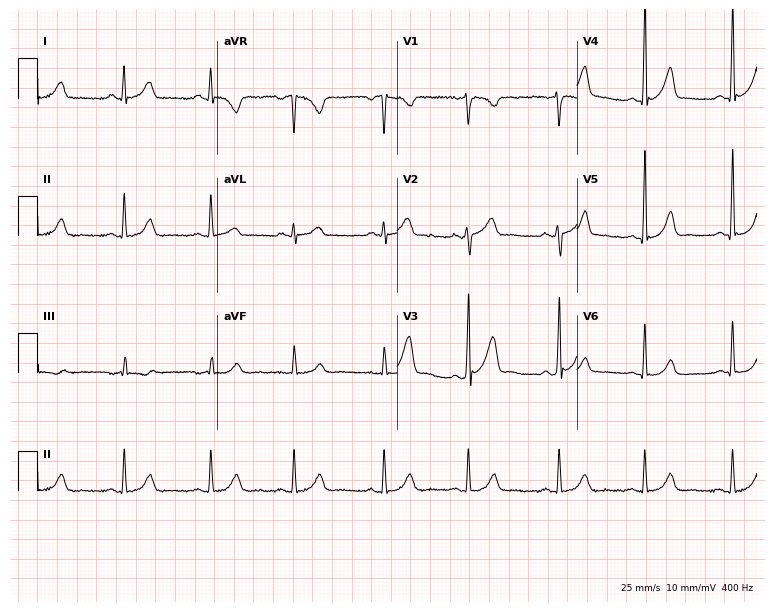
Standard 12-lead ECG recorded from a male patient, 25 years old. Read as a normal ECG.